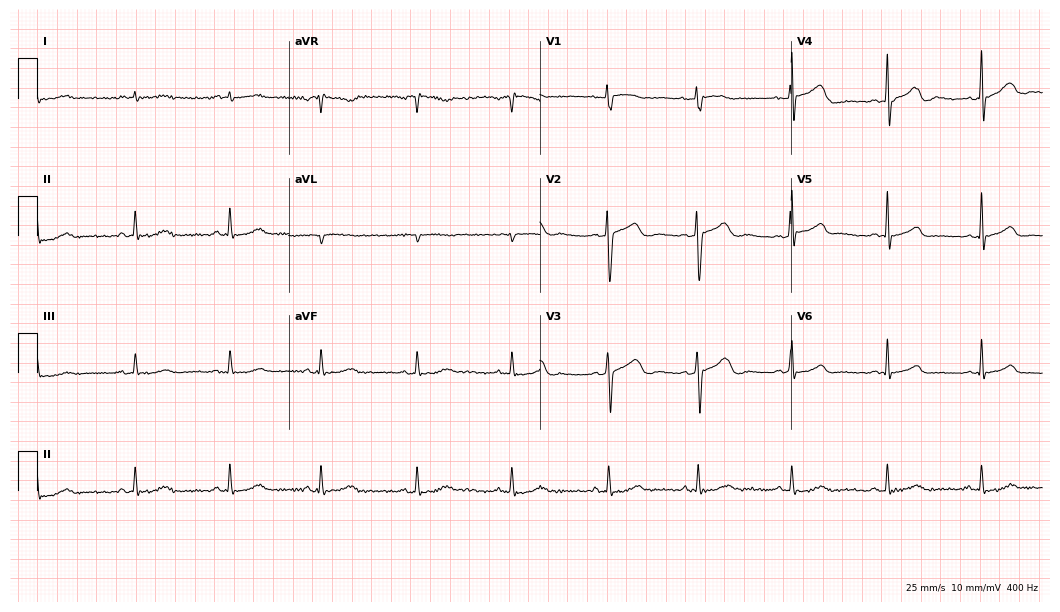
12-lead ECG from a man, 36 years old. Recorded interpretation: within normal limits.